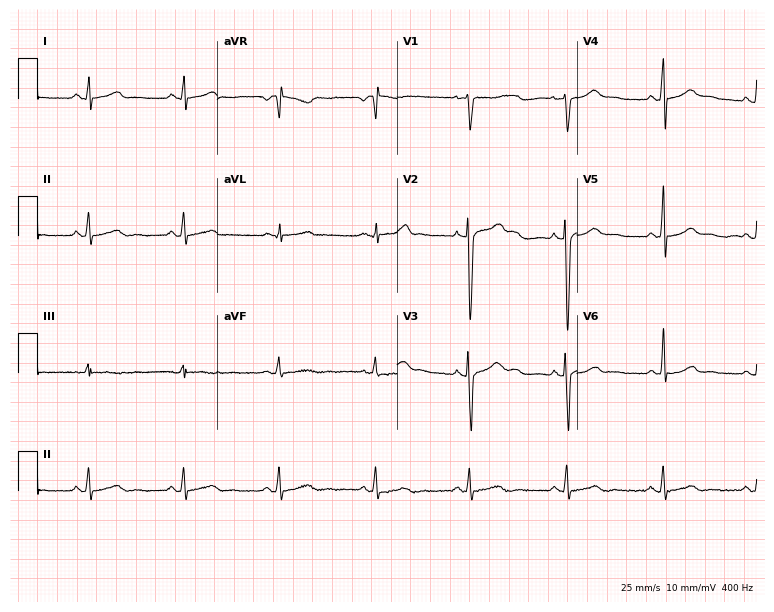
12-lead ECG from a 29-year-old woman (7.3-second recording at 400 Hz). Recorded interpretation: within normal limits.